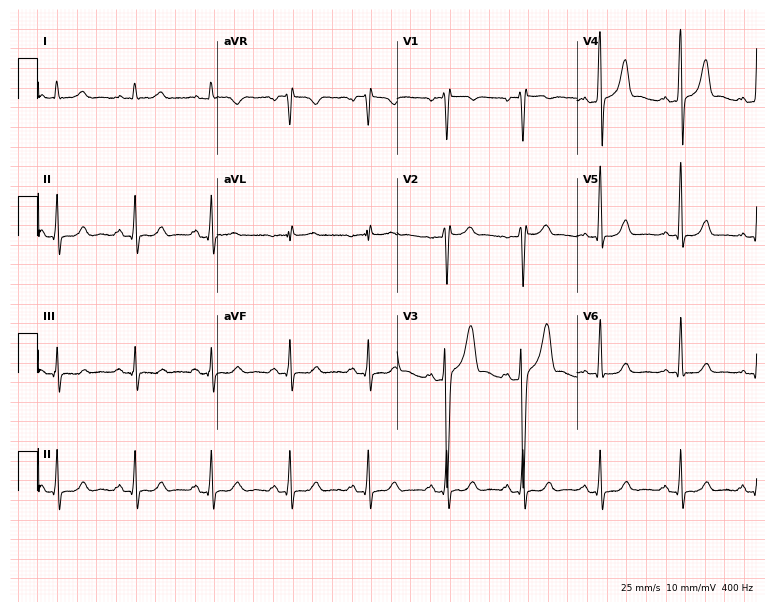
Resting 12-lead electrocardiogram (7.3-second recording at 400 Hz). Patient: a male, 28 years old. Read as a normal ECG.